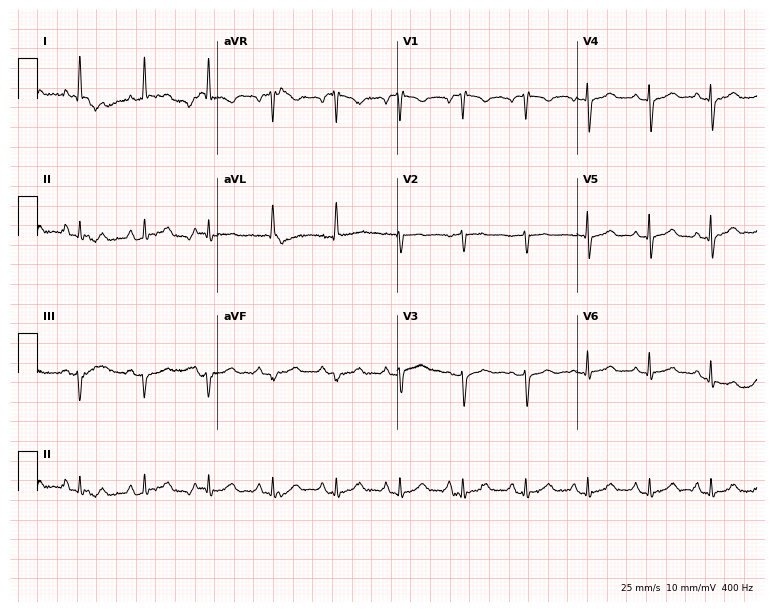
Electrocardiogram, a 76-year-old female. Of the six screened findings (first-degree AV block, right bundle branch block, left bundle branch block, sinus bradycardia, atrial fibrillation, sinus tachycardia), none is recorded. Other findings, if any, are not listed.